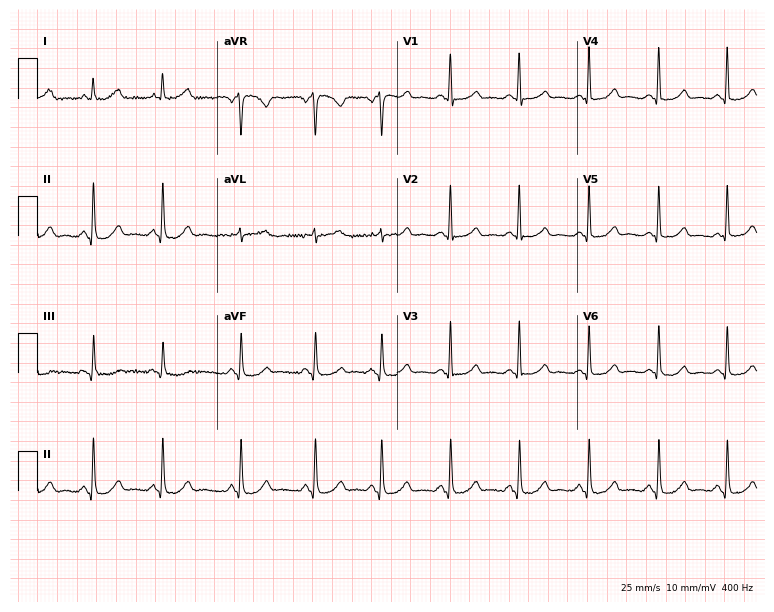
Electrocardiogram, a woman, 45 years old. Of the six screened findings (first-degree AV block, right bundle branch block, left bundle branch block, sinus bradycardia, atrial fibrillation, sinus tachycardia), none is recorded. Other findings, if any, are not listed.